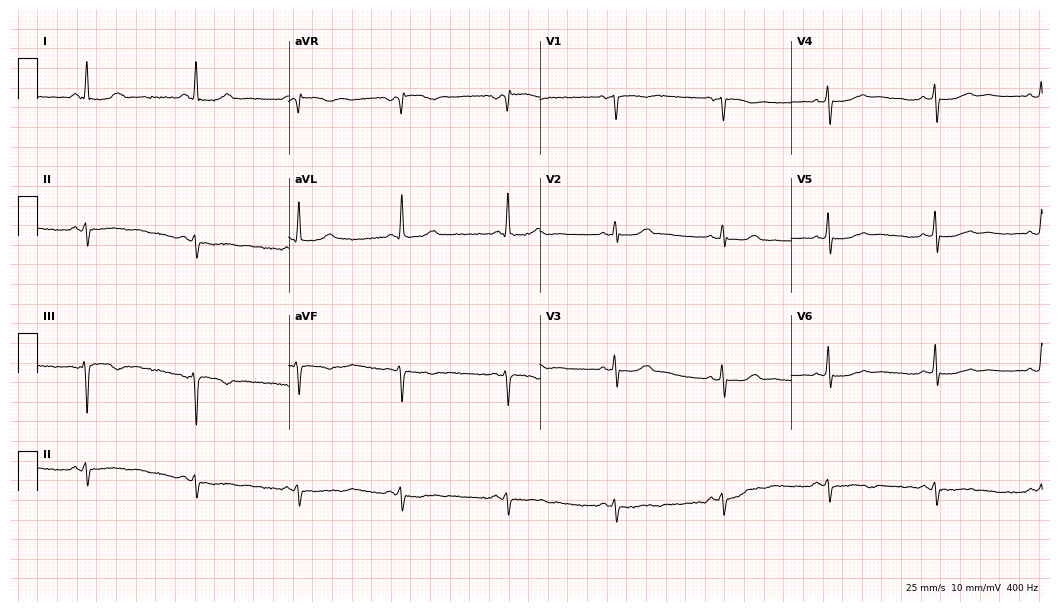
12-lead ECG from a woman, 44 years old. No first-degree AV block, right bundle branch block (RBBB), left bundle branch block (LBBB), sinus bradycardia, atrial fibrillation (AF) or sinus tachycardia recorded for this tracing. Other findings, if any, are not listed.